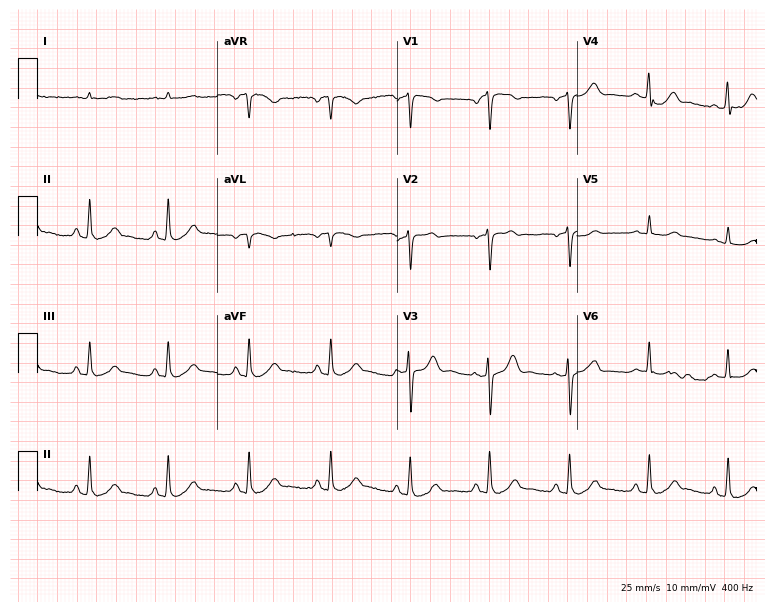
12-lead ECG (7.3-second recording at 400 Hz) from a man, 73 years old. Screened for six findings — first-degree AV block, right bundle branch block, left bundle branch block, sinus bradycardia, atrial fibrillation, sinus tachycardia — none is recorded. Only these six findings were labelled.